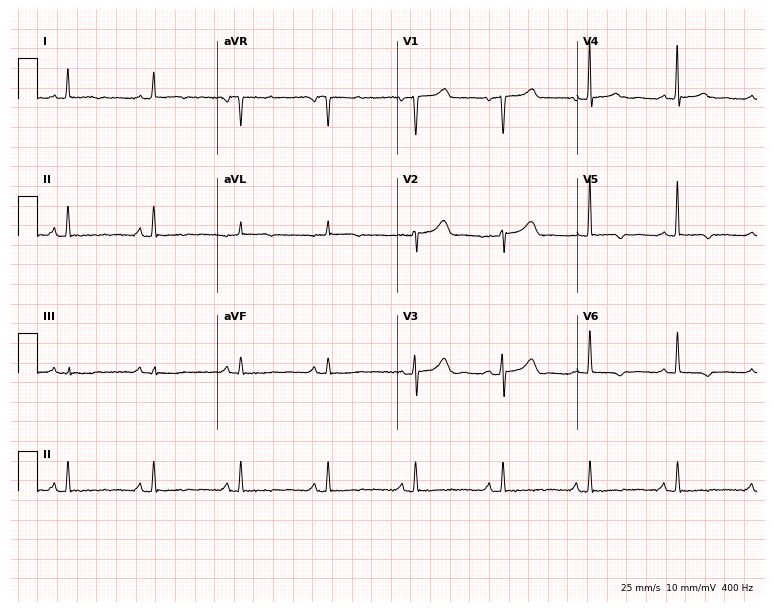
Electrocardiogram (7.3-second recording at 400 Hz), a 65-year-old female patient. Overall reading on record: normal ECG.